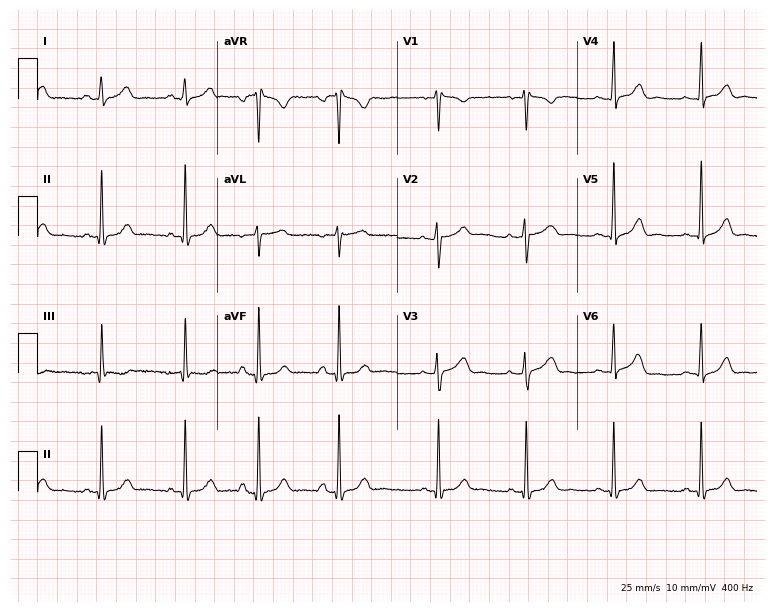
12-lead ECG from a female, 27 years old (7.3-second recording at 400 Hz). Recorded interpretation: within normal limits.